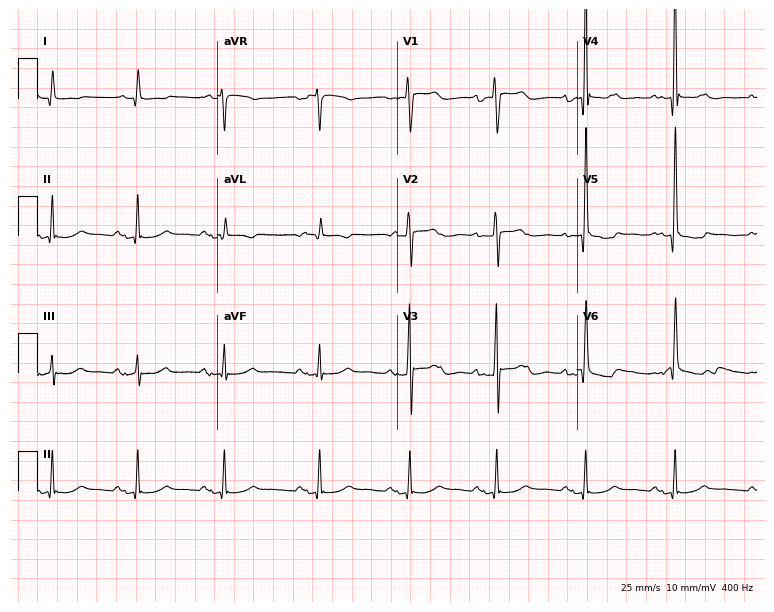
12-lead ECG from a male, 59 years old. No first-degree AV block, right bundle branch block (RBBB), left bundle branch block (LBBB), sinus bradycardia, atrial fibrillation (AF) or sinus tachycardia recorded for this tracing.